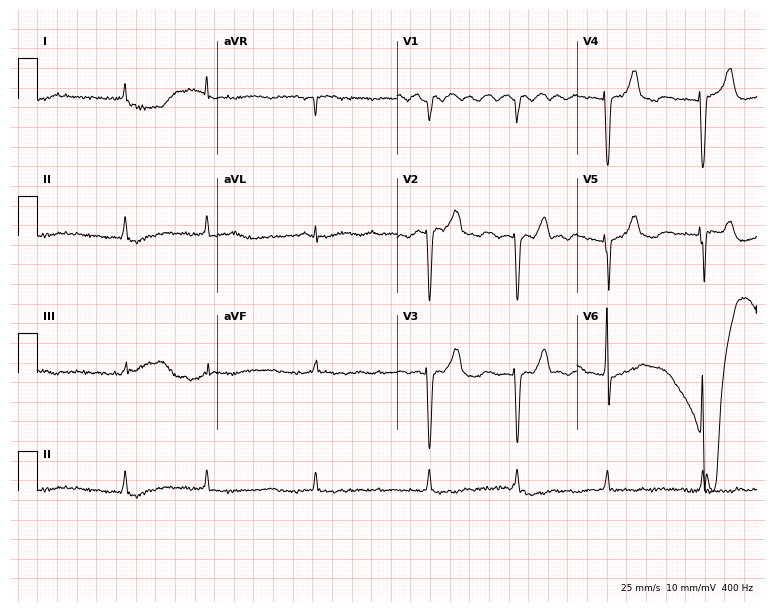
Standard 12-lead ECG recorded from a female, 85 years old (7.3-second recording at 400 Hz). The tracing shows atrial fibrillation (AF).